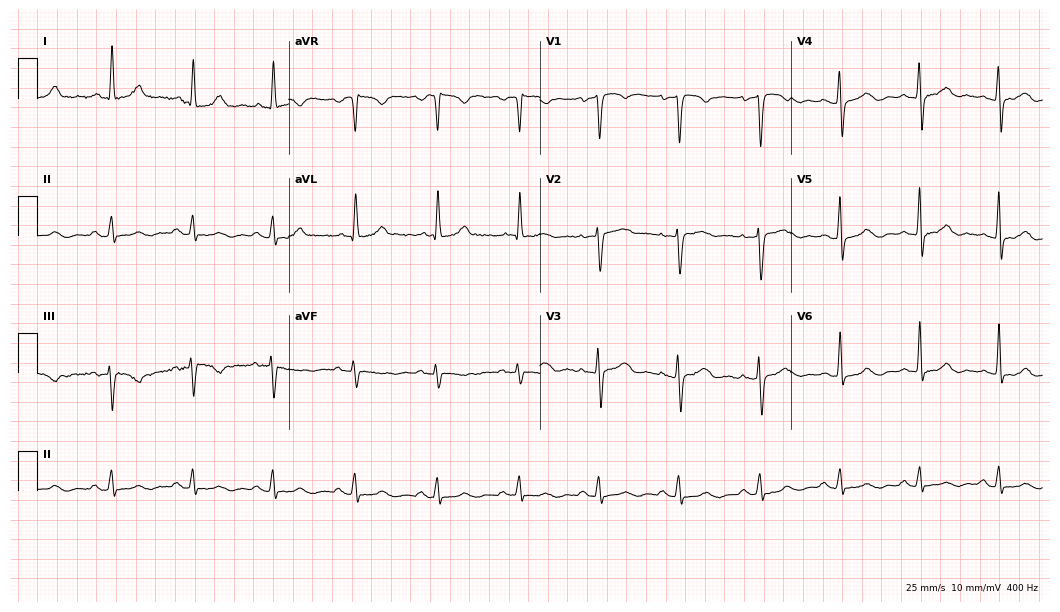
12-lead ECG (10.2-second recording at 400 Hz) from a female patient, 39 years old. Labelled as a normal ECG.